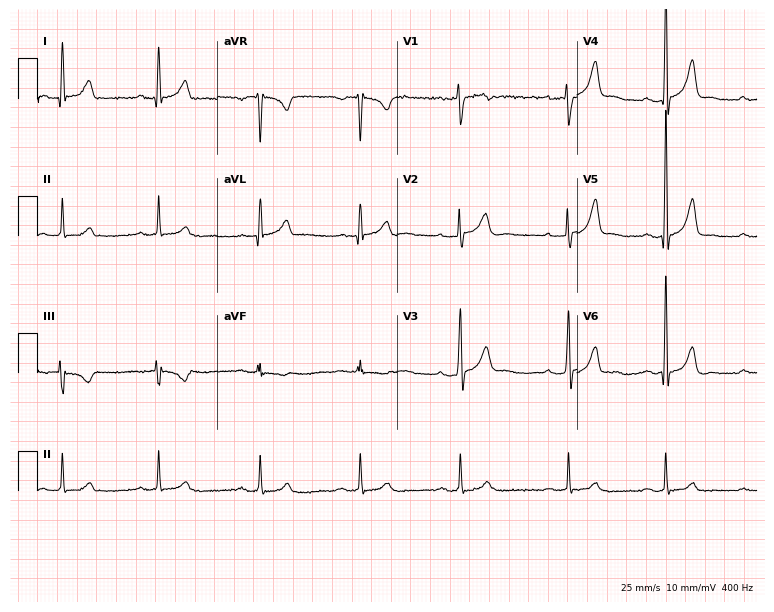
ECG (7.3-second recording at 400 Hz) — a 32-year-old man. Labelled as a normal ECG.